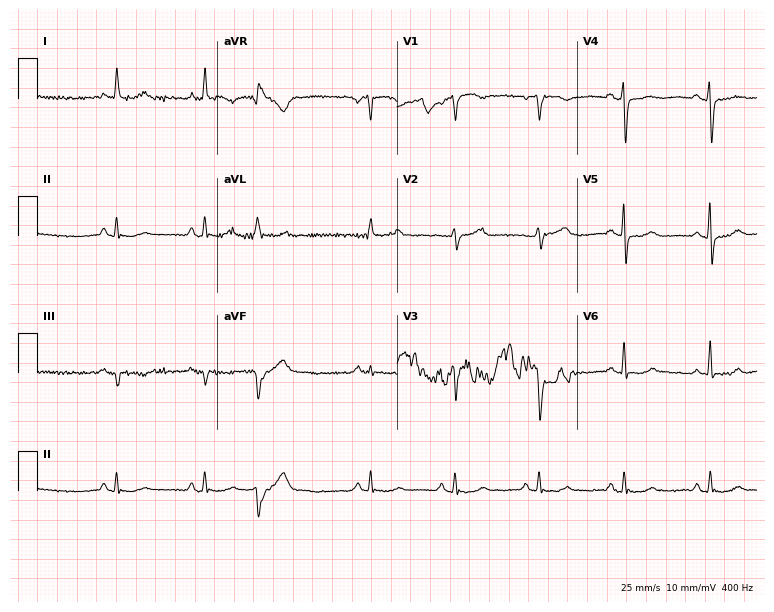
Standard 12-lead ECG recorded from a woman, 63 years old (7.3-second recording at 400 Hz). None of these six findings is recorded: first-degree AV block, right bundle branch block (RBBB), left bundle branch block (LBBB), sinus bradycardia, atrial fibrillation (AF), sinus tachycardia.